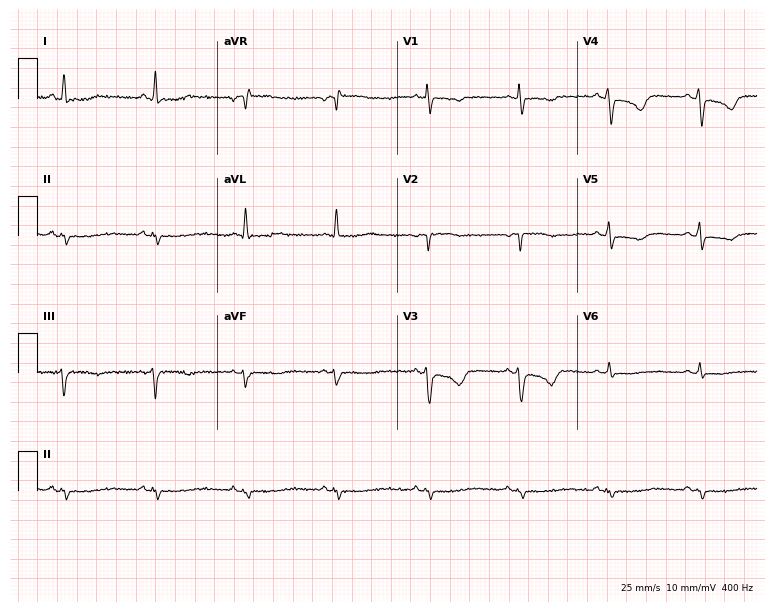
Resting 12-lead electrocardiogram (7.3-second recording at 400 Hz). Patient: a female, 53 years old. None of these six findings is recorded: first-degree AV block, right bundle branch block, left bundle branch block, sinus bradycardia, atrial fibrillation, sinus tachycardia.